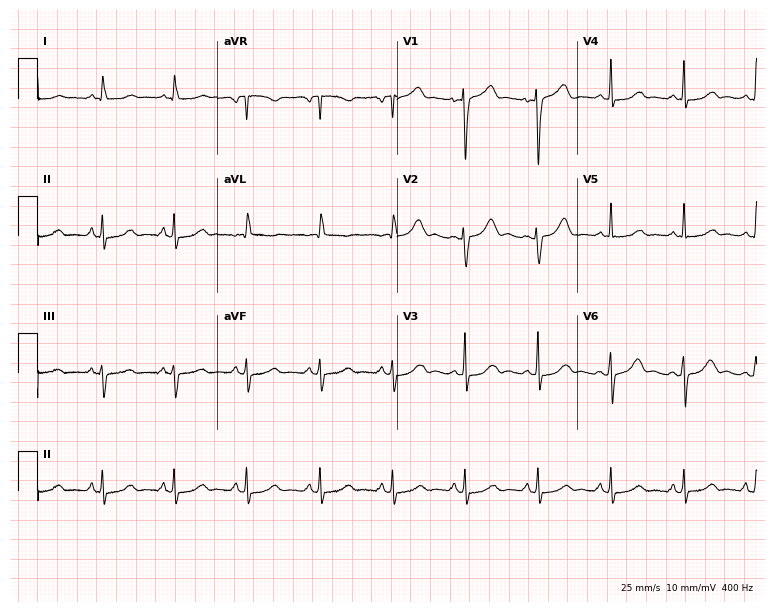
Resting 12-lead electrocardiogram. Patient: a female, 67 years old. Read as a normal ECG.